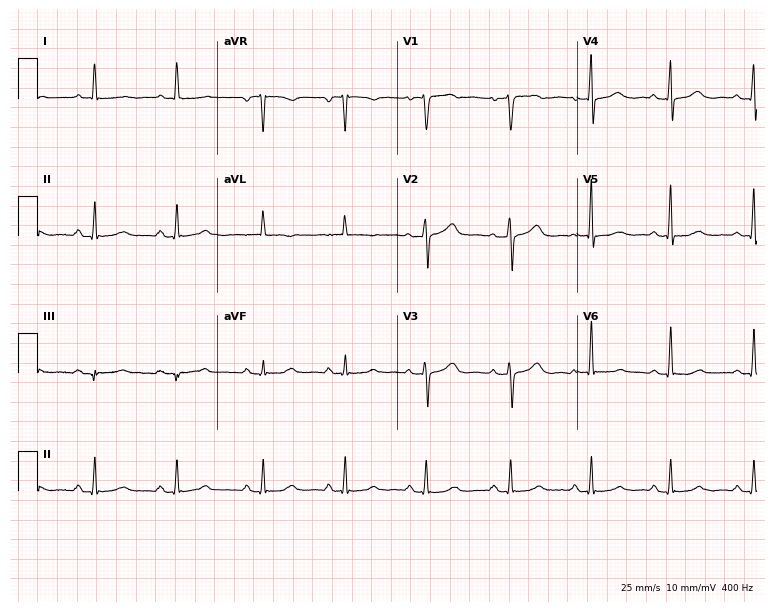
Standard 12-lead ECG recorded from a woman, 65 years old. Read as a normal ECG.